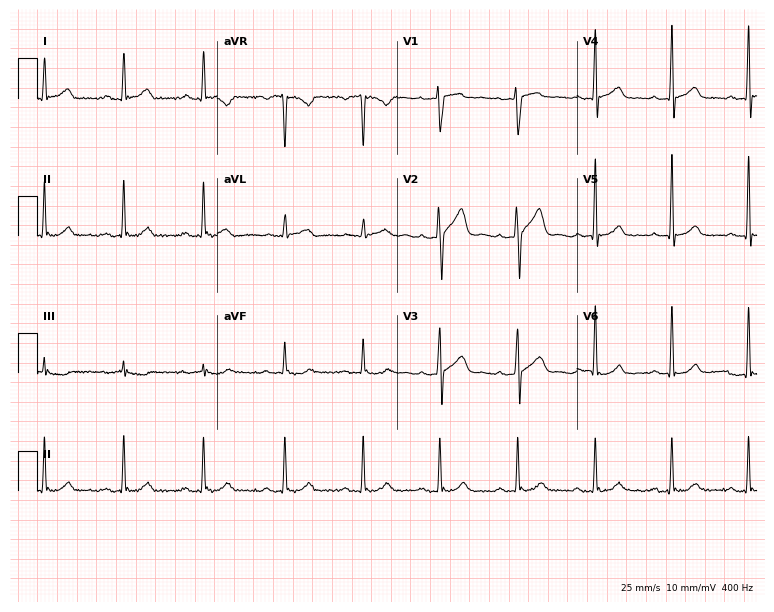
12-lead ECG (7.3-second recording at 400 Hz) from a 36-year-old male patient. Labelled as a normal ECG.